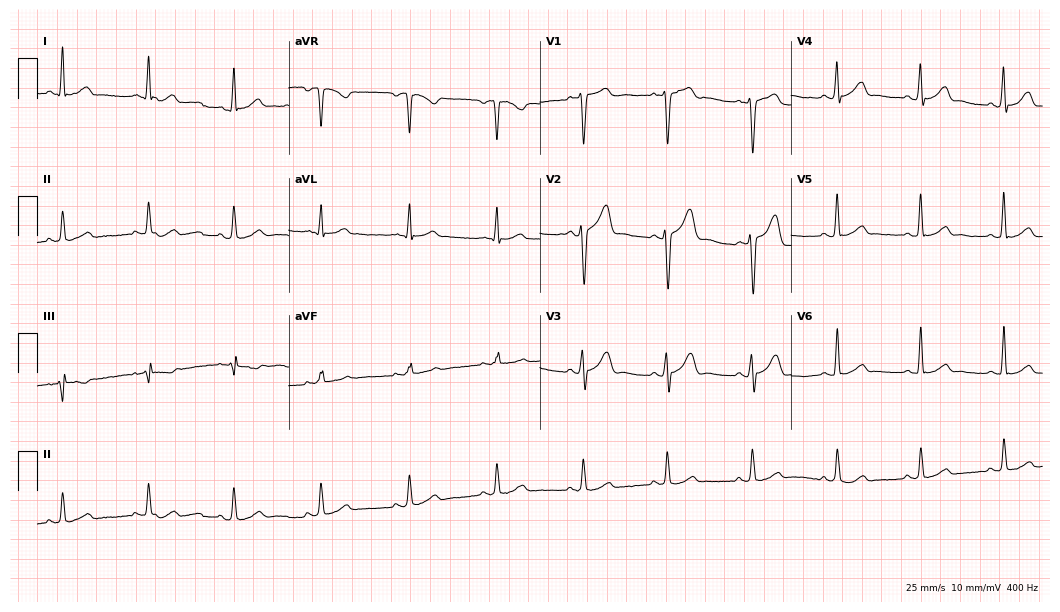
12-lead ECG from a 35-year-old male (10.2-second recording at 400 Hz). Recorded interpretation: within normal limits.